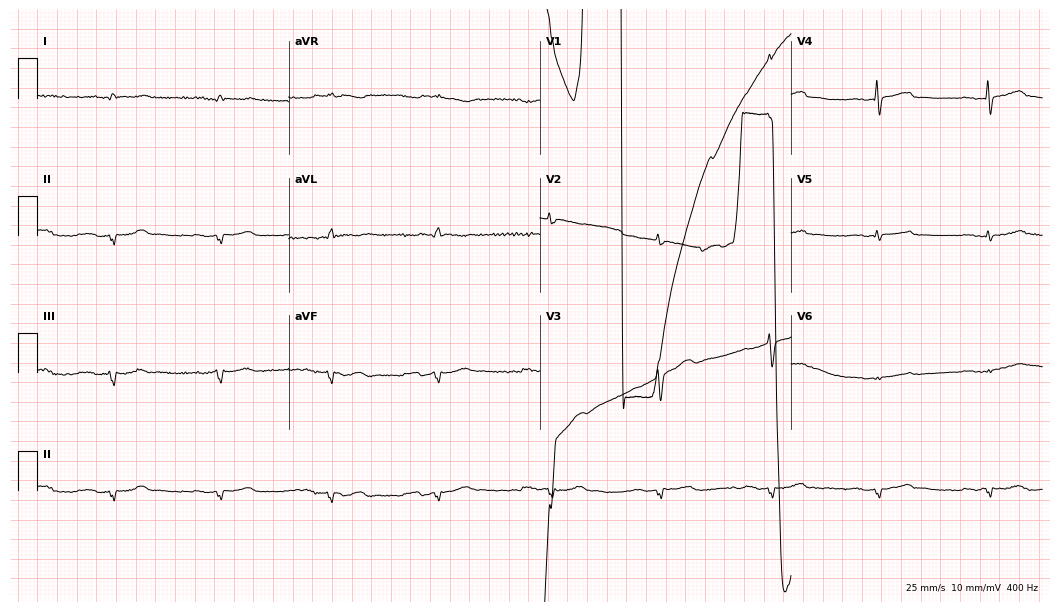
Electrocardiogram (10.2-second recording at 400 Hz), a female patient, 75 years old. Of the six screened findings (first-degree AV block, right bundle branch block (RBBB), left bundle branch block (LBBB), sinus bradycardia, atrial fibrillation (AF), sinus tachycardia), none is recorded. Other findings, if any, are not listed.